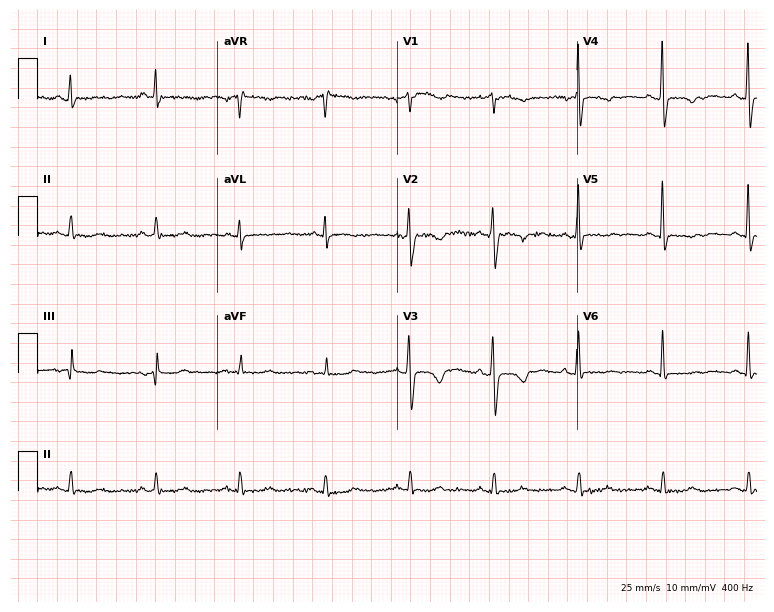
Resting 12-lead electrocardiogram. Patient: a female, 49 years old. None of these six findings is recorded: first-degree AV block, right bundle branch block, left bundle branch block, sinus bradycardia, atrial fibrillation, sinus tachycardia.